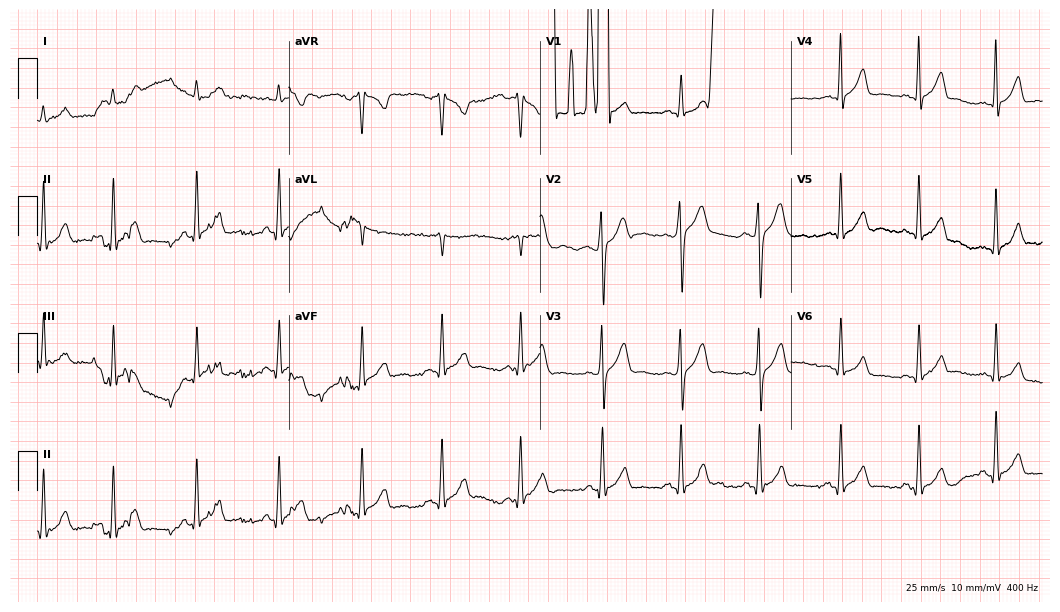
Resting 12-lead electrocardiogram (10.2-second recording at 400 Hz). Patient: a man, 21 years old. None of these six findings is recorded: first-degree AV block, right bundle branch block, left bundle branch block, sinus bradycardia, atrial fibrillation, sinus tachycardia.